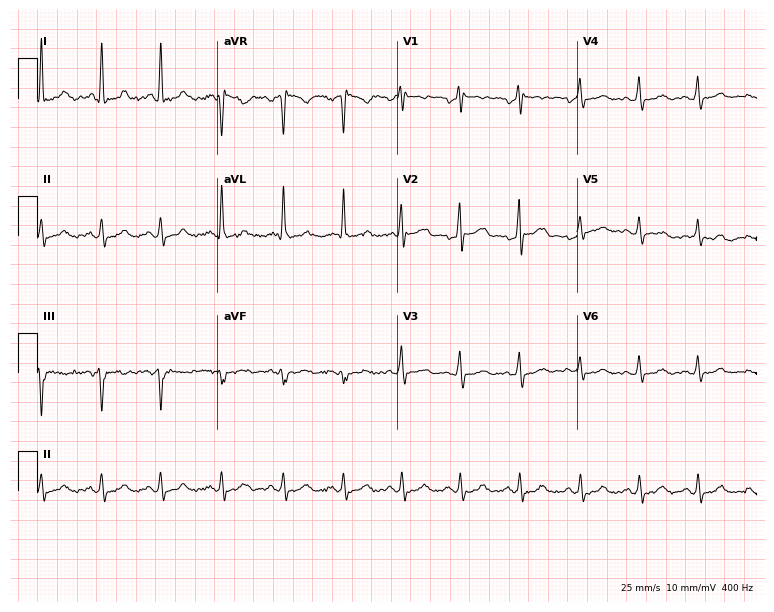
Electrocardiogram (7.3-second recording at 400 Hz), a woman, 48 years old. Of the six screened findings (first-degree AV block, right bundle branch block (RBBB), left bundle branch block (LBBB), sinus bradycardia, atrial fibrillation (AF), sinus tachycardia), none is recorded. Only these six findings were labelled.